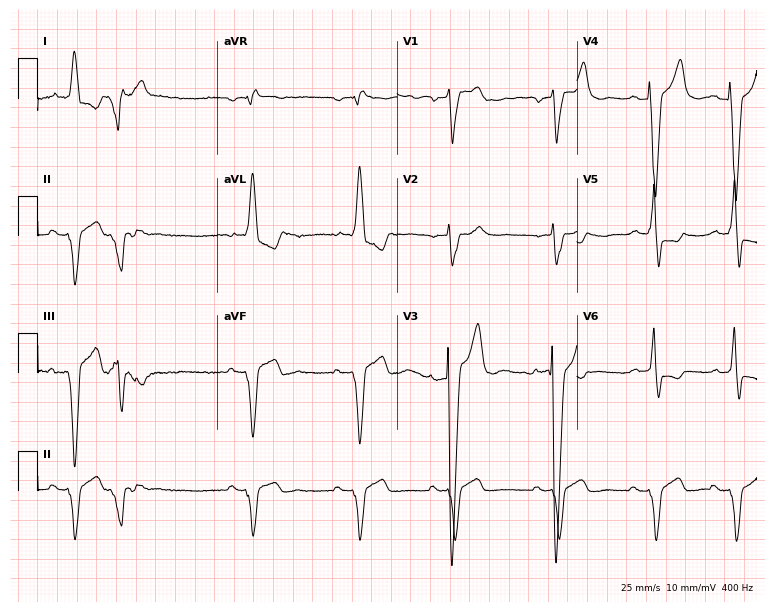
12-lead ECG from an 82-year-old male patient. No first-degree AV block, right bundle branch block, left bundle branch block, sinus bradycardia, atrial fibrillation or sinus tachycardia recorded for this tracing.